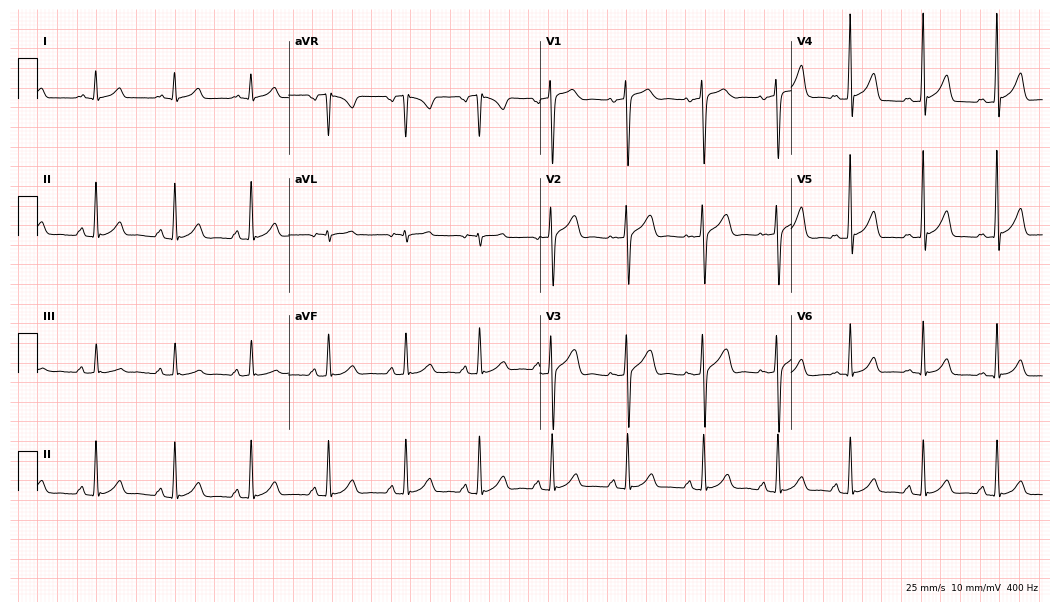
12-lead ECG (10.2-second recording at 400 Hz) from a man, 21 years old. Labelled as a normal ECG.